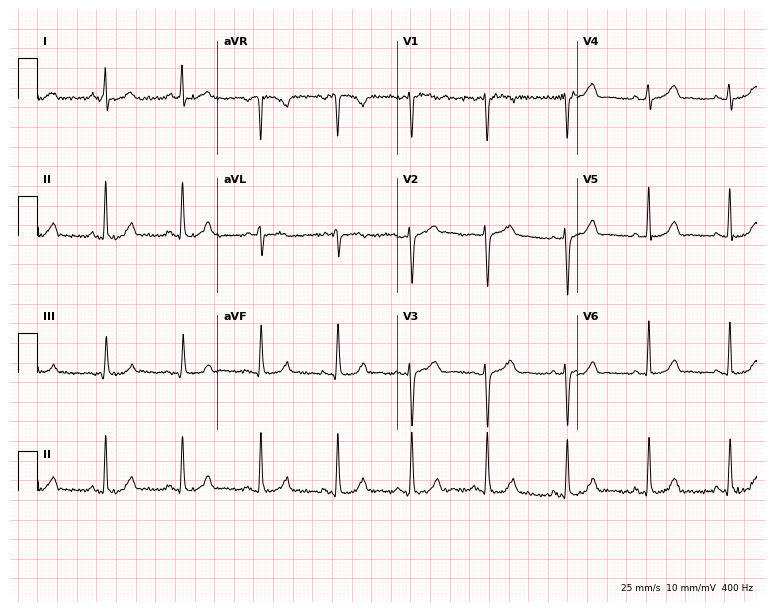
Resting 12-lead electrocardiogram. Patient: a 42-year-old female. None of these six findings is recorded: first-degree AV block, right bundle branch block, left bundle branch block, sinus bradycardia, atrial fibrillation, sinus tachycardia.